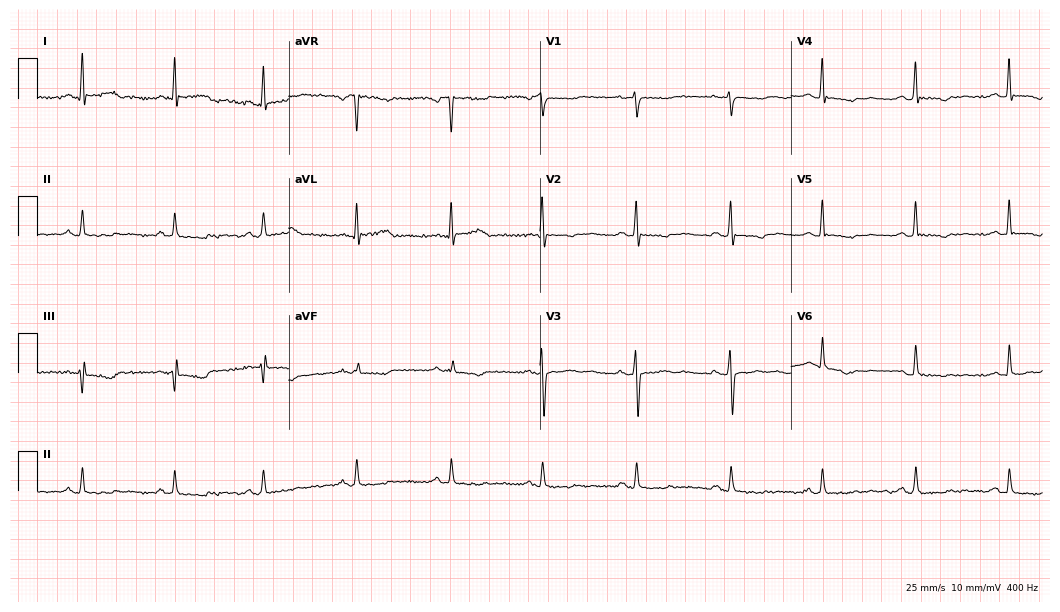
Standard 12-lead ECG recorded from a woman, 50 years old (10.2-second recording at 400 Hz). None of these six findings is recorded: first-degree AV block, right bundle branch block, left bundle branch block, sinus bradycardia, atrial fibrillation, sinus tachycardia. Other findings, if any, are not listed.